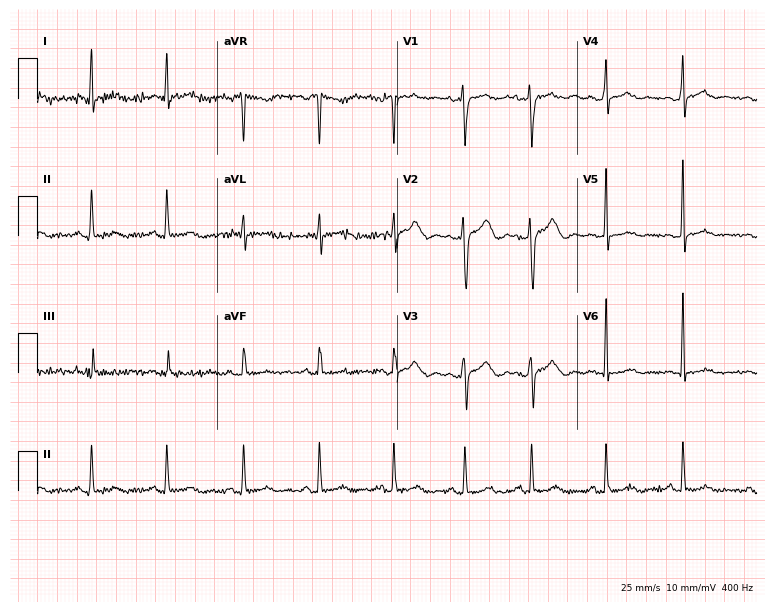
Electrocardiogram (7.3-second recording at 400 Hz), a 39-year-old male. Overall reading on record: normal ECG.